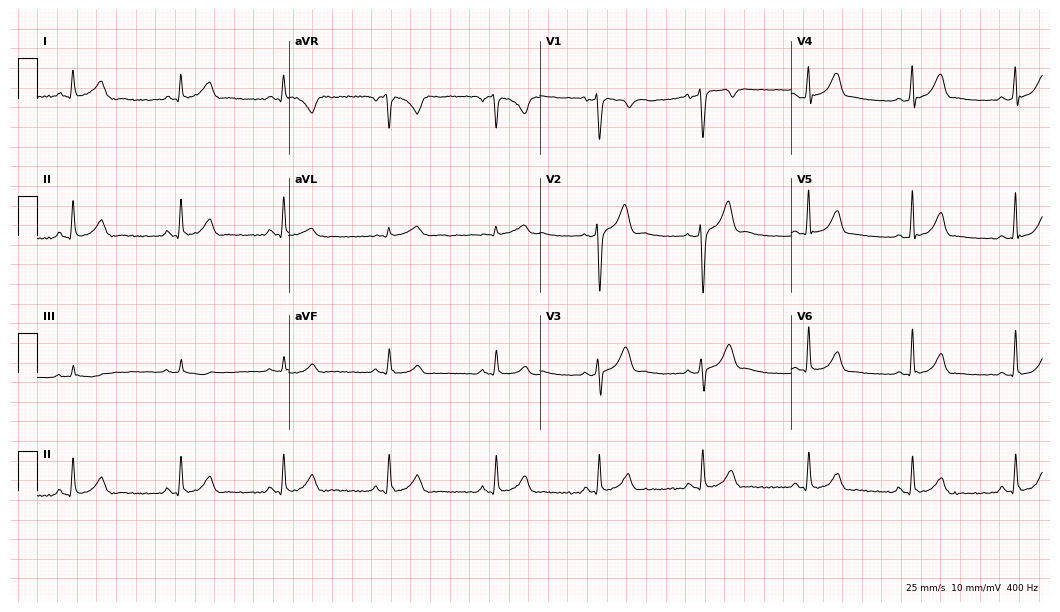
Resting 12-lead electrocardiogram. Patient: a 36-year-old man. None of these six findings is recorded: first-degree AV block, right bundle branch block (RBBB), left bundle branch block (LBBB), sinus bradycardia, atrial fibrillation (AF), sinus tachycardia.